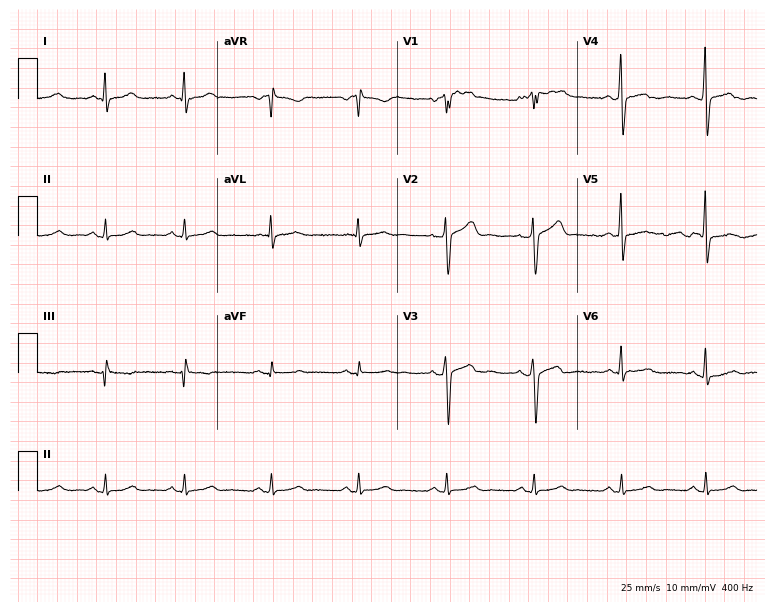
Resting 12-lead electrocardiogram (7.3-second recording at 400 Hz). Patient: a man, 61 years old. None of these six findings is recorded: first-degree AV block, right bundle branch block (RBBB), left bundle branch block (LBBB), sinus bradycardia, atrial fibrillation (AF), sinus tachycardia.